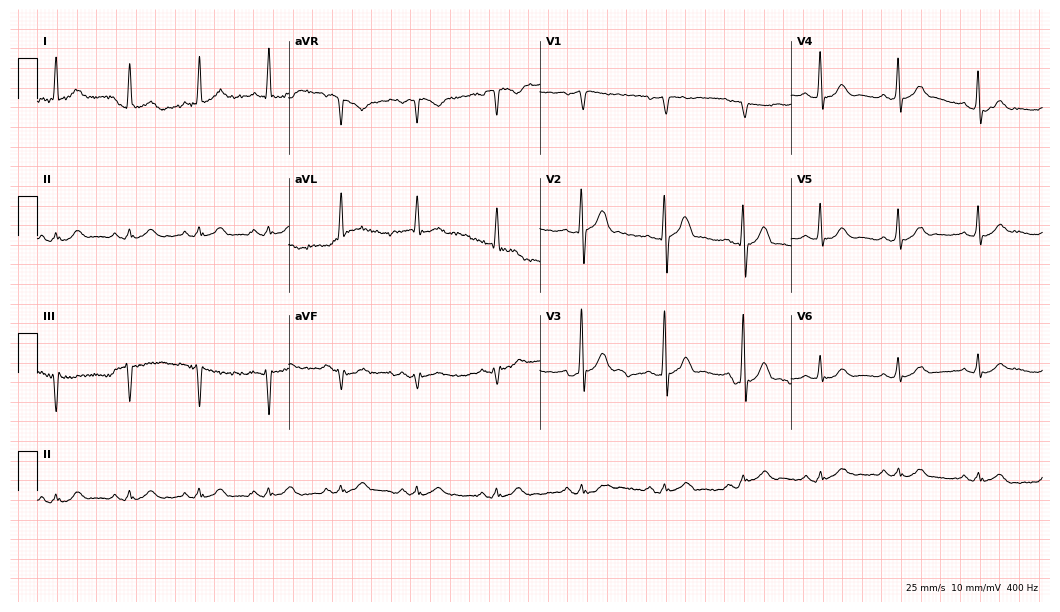
Resting 12-lead electrocardiogram (10.2-second recording at 400 Hz). Patient: a 57-year-old male. Read as a normal ECG.